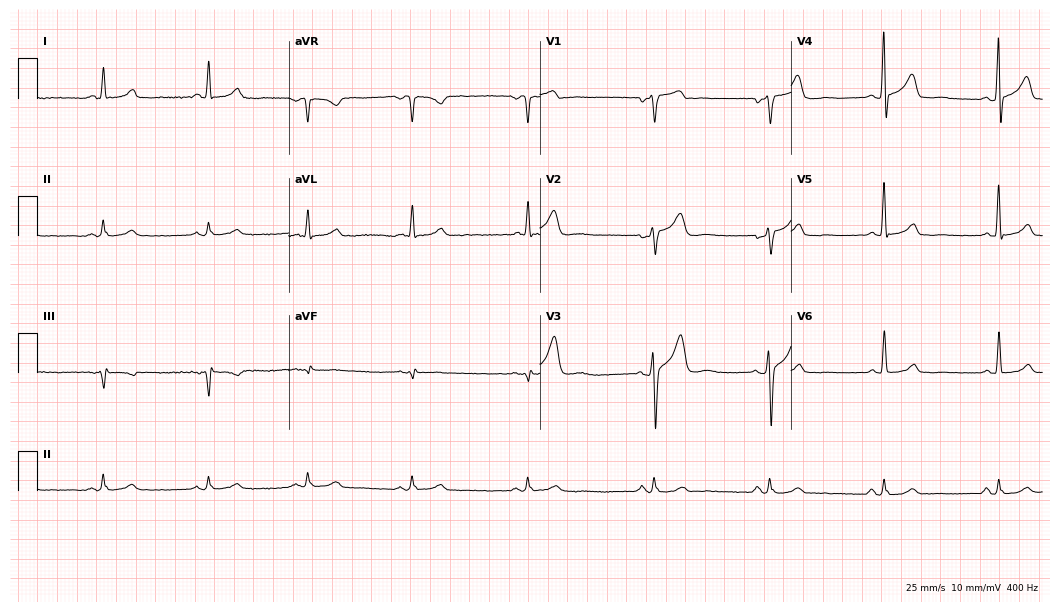
Resting 12-lead electrocardiogram (10.2-second recording at 400 Hz). Patient: a male, 59 years old. Read as a normal ECG.